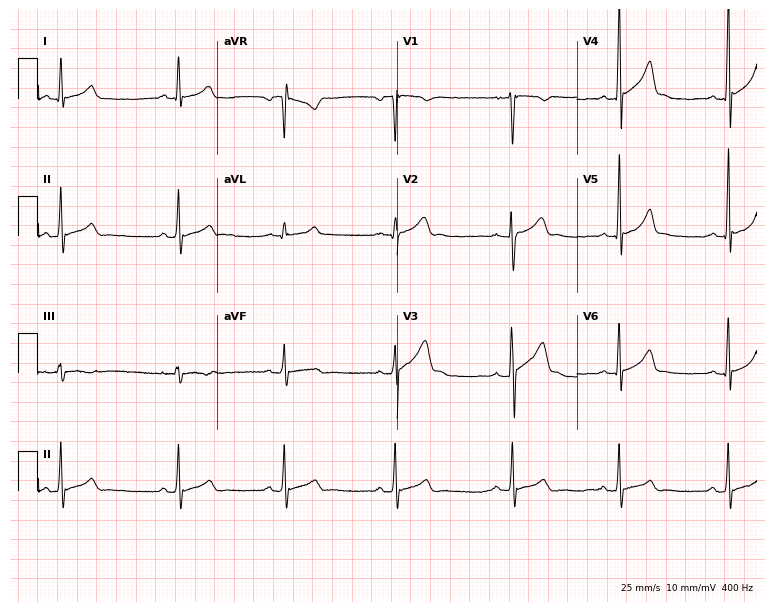
Standard 12-lead ECG recorded from a male patient, 17 years old. Read as a normal ECG.